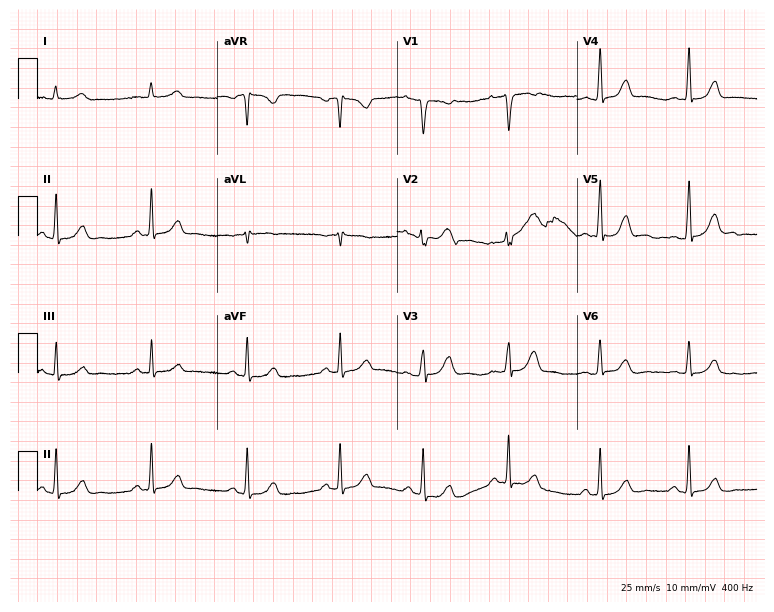
12-lead ECG from a 31-year-old female. Labelled as a normal ECG.